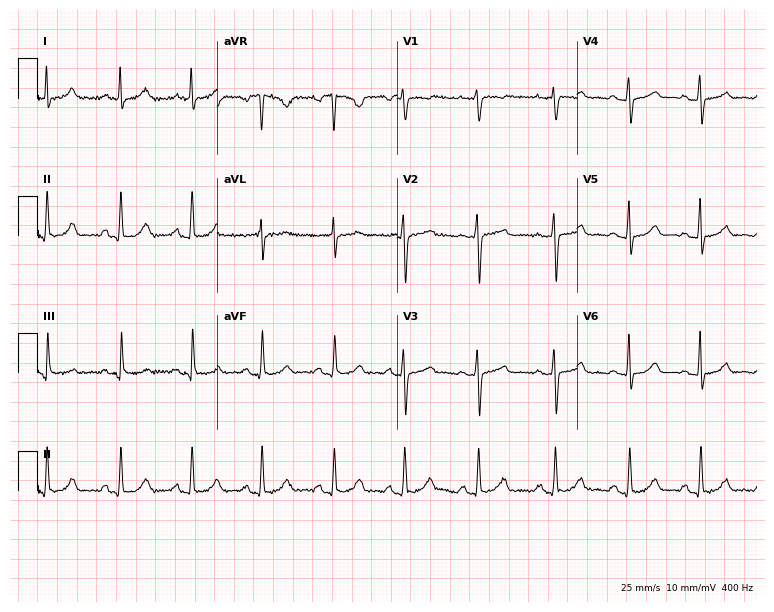
Resting 12-lead electrocardiogram. Patient: a 56-year-old female. Read as a normal ECG.